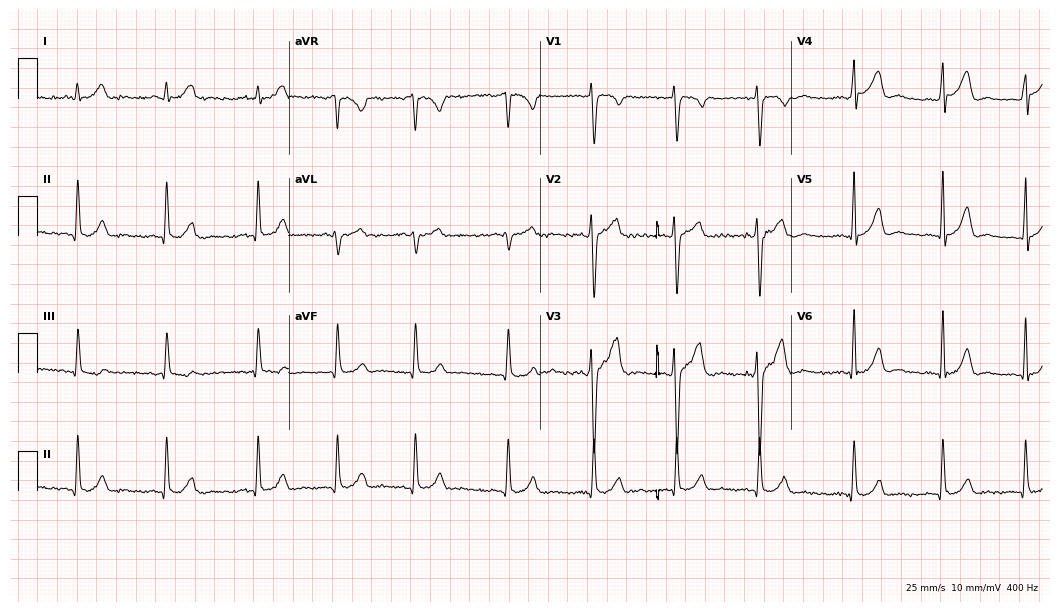
Standard 12-lead ECG recorded from a male, 31 years old. Read as a normal ECG.